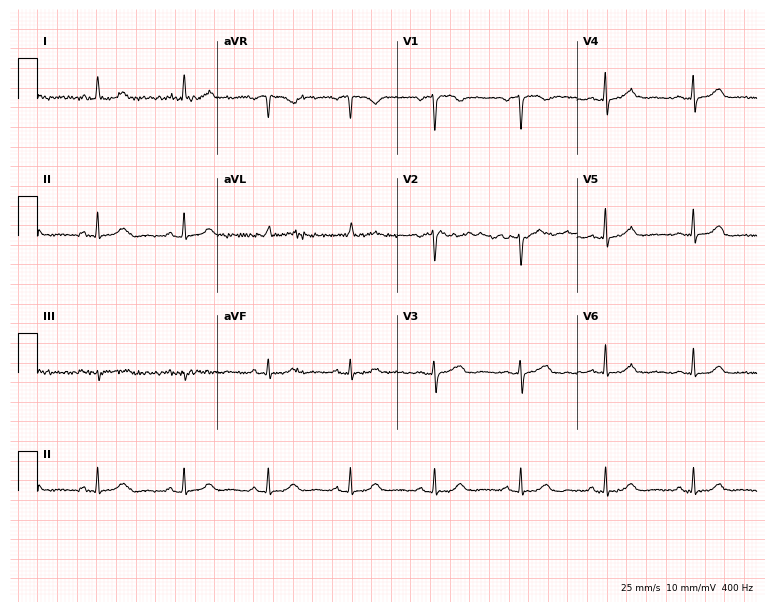
12-lead ECG from a female, 46 years old (7.3-second recording at 400 Hz). Recorded interpretation: within normal limits.